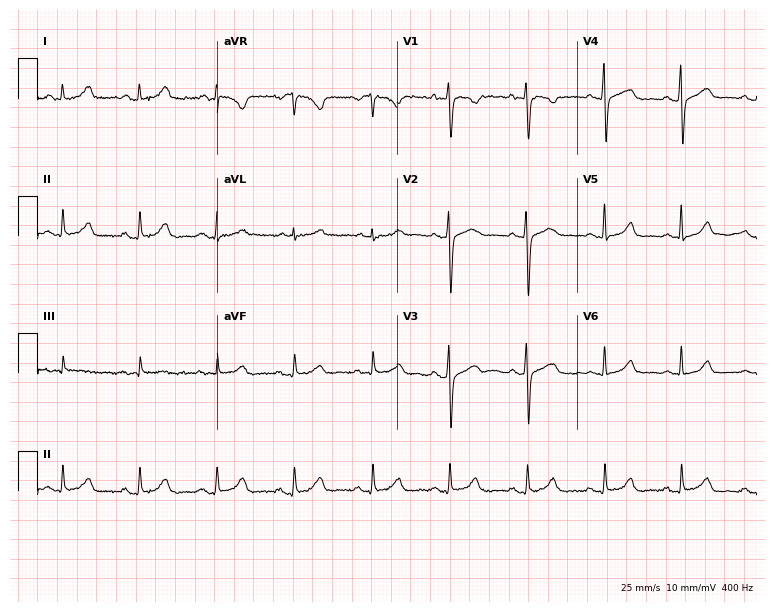
12-lead ECG (7.3-second recording at 400 Hz) from a 34-year-old female patient. Screened for six findings — first-degree AV block, right bundle branch block, left bundle branch block, sinus bradycardia, atrial fibrillation, sinus tachycardia — none is recorded. Only these six findings were labelled.